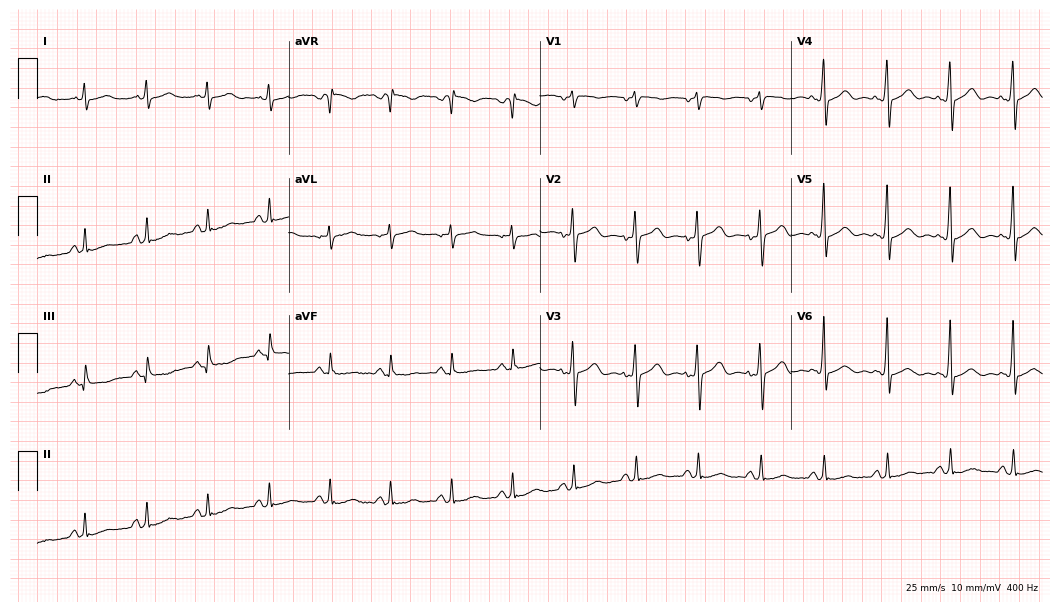
12-lead ECG from a 42-year-old male. Labelled as a normal ECG.